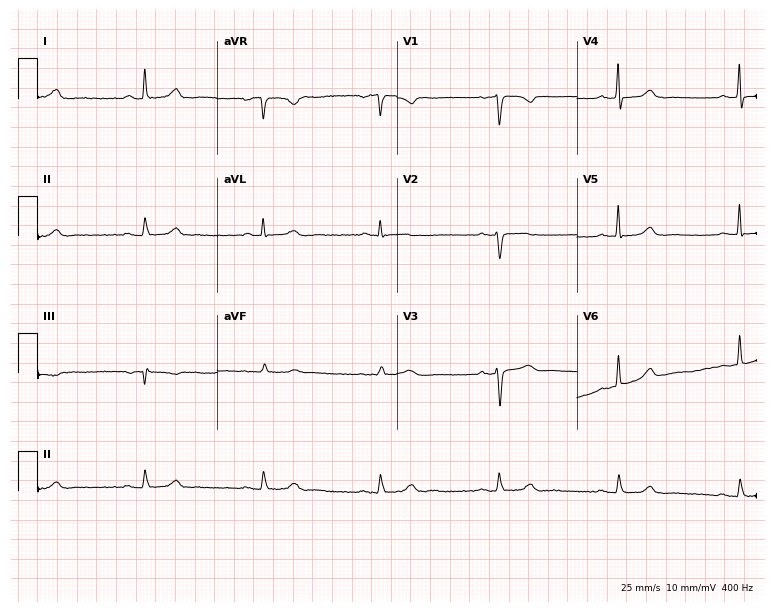
Standard 12-lead ECG recorded from a female patient, 59 years old. None of these six findings is recorded: first-degree AV block, right bundle branch block (RBBB), left bundle branch block (LBBB), sinus bradycardia, atrial fibrillation (AF), sinus tachycardia. Other findings, if any, are not listed.